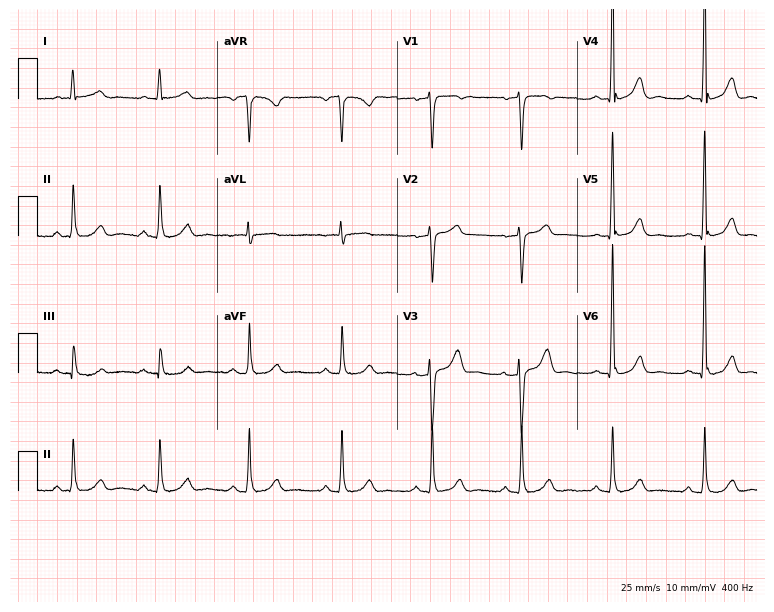
Standard 12-lead ECG recorded from a female, 64 years old. None of these six findings is recorded: first-degree AV block, right bundle branch block, left bundle branch block, sinus bradycardia, atrial fibrillation, sinus tachycardia.